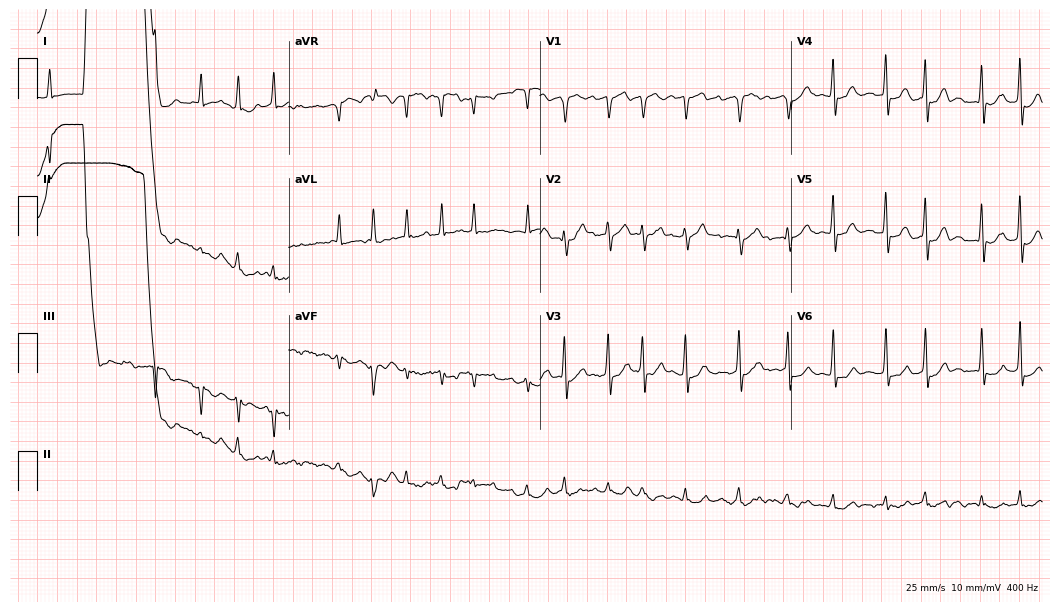
12-lead ECG from a male patient, 84 years old. Shows atrial fibrillation.